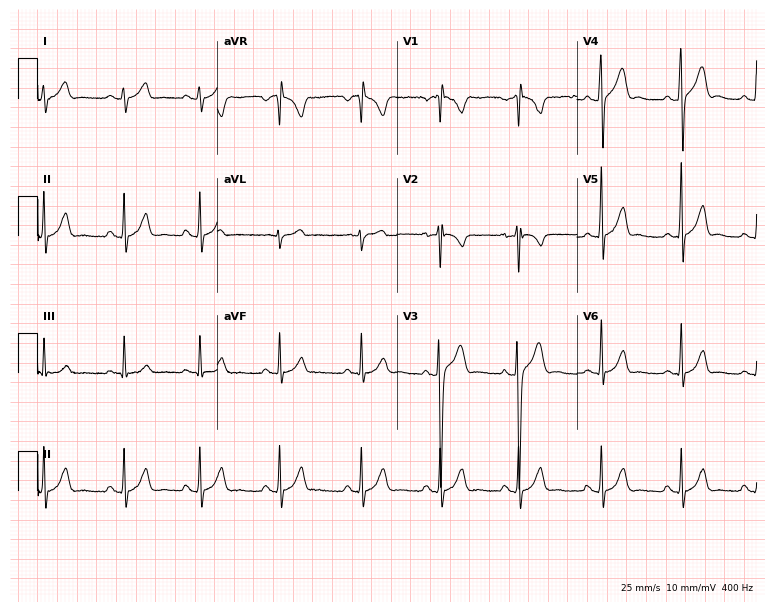
12-lead ECG from a male, 17 years old. Recorded interpretation: within normal limits.